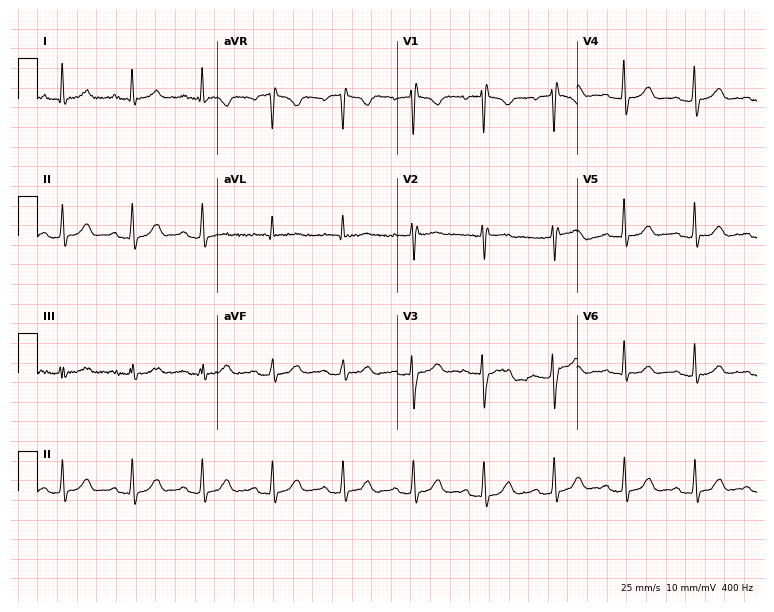
Resting 12-lead electrocardiogram (7.3-second recording at 400 Hz). Patient: a 62-year-old female. Read as a normal ECG.